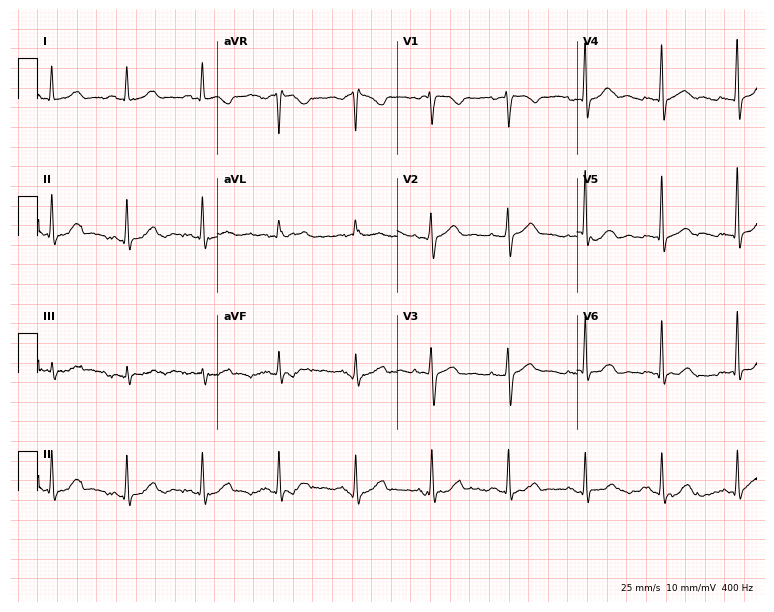
Electrocardiogram, a 47-year-old female patient. Of the six screened findings (first-degree AV block, right bundle branch block (RBBB), left bundle branch block (LBBB), sinus bradycardia, atrial fibrillation (AF), sinus tachycardia), none is recorded.